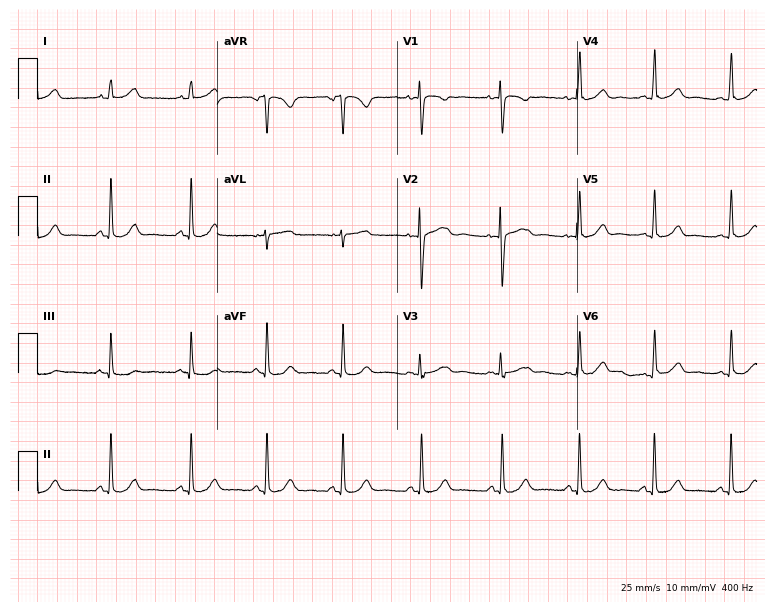
Electrocardiogram (7.3-second recording at 400 Hz), a female patient, 24 years old. Overall reading on record: normal ECG.